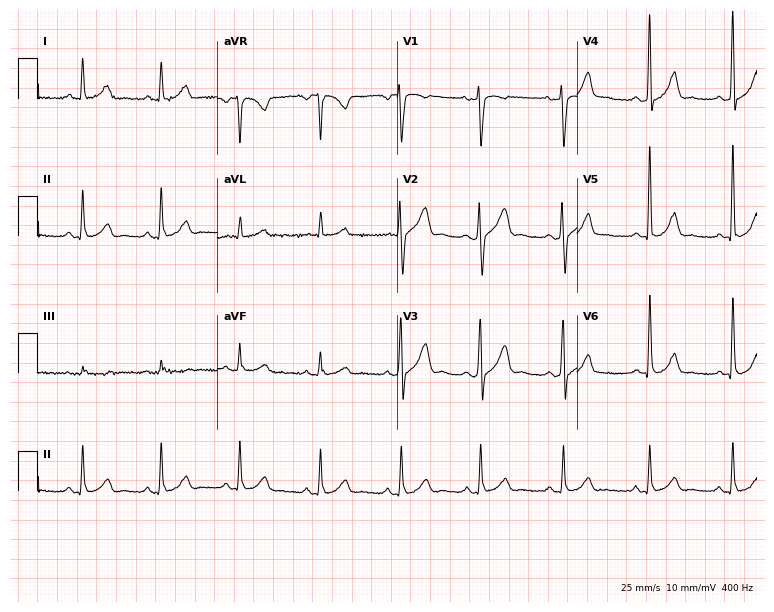
12-lead ECG from a 51-year-old woman. No first-degree AV block, right bundle branch block, left bundle branch block, sinus bradycardia, atrial fibrillation or sinus tachycardia recorded for this tracing.